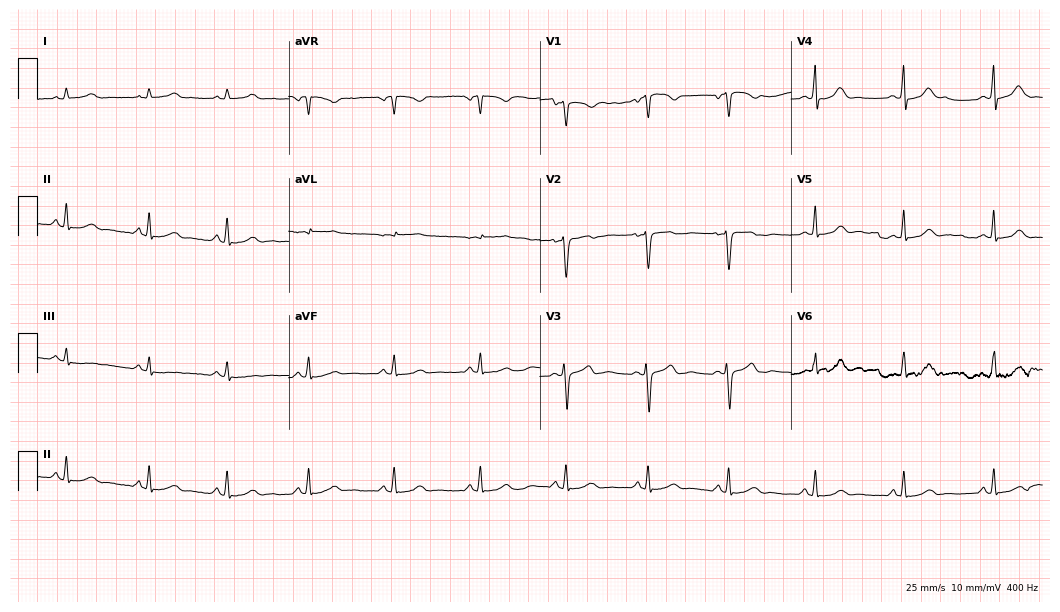
Resting 12-lead electrocardiogram. Patient: a female, 23 years old. Read as a normal ECG.